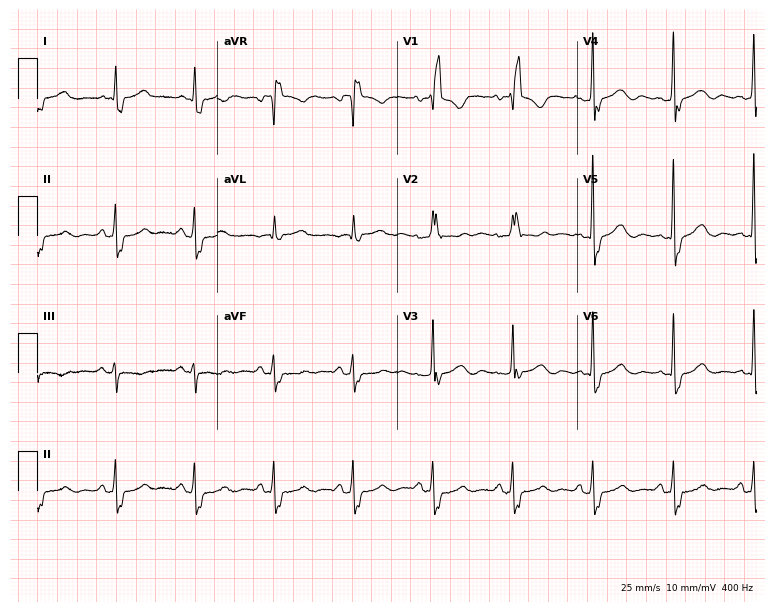
ECG (7.3-second recording at 400 Hz) — an 82-year-old woman. Findings include right bundle branch block.